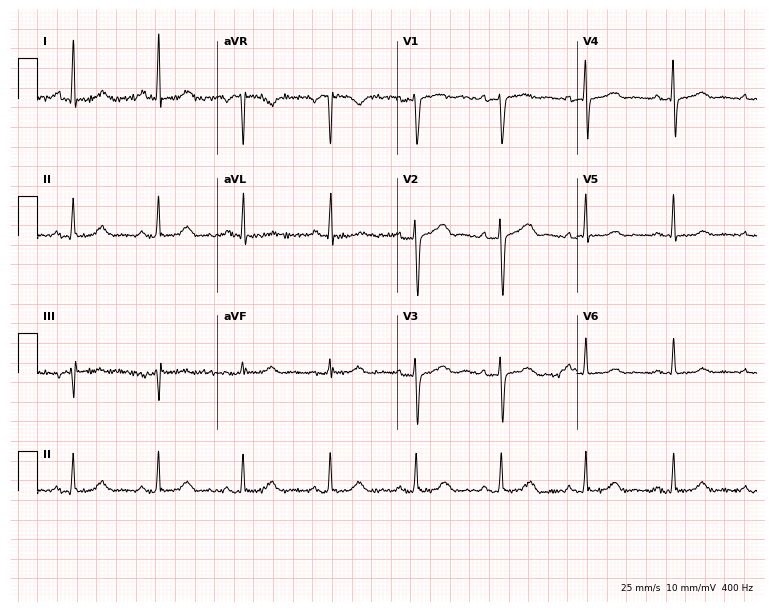
ECG — a 59-year-old female. Screened for six findings — first-degree AV block, right bundle branch block (RBBB), left bundle branch block (LBBB), sinus bradycardia, atrial fibrillation (AF), sinus tachycardia — none is recorded. Findings outside these six are not listed.